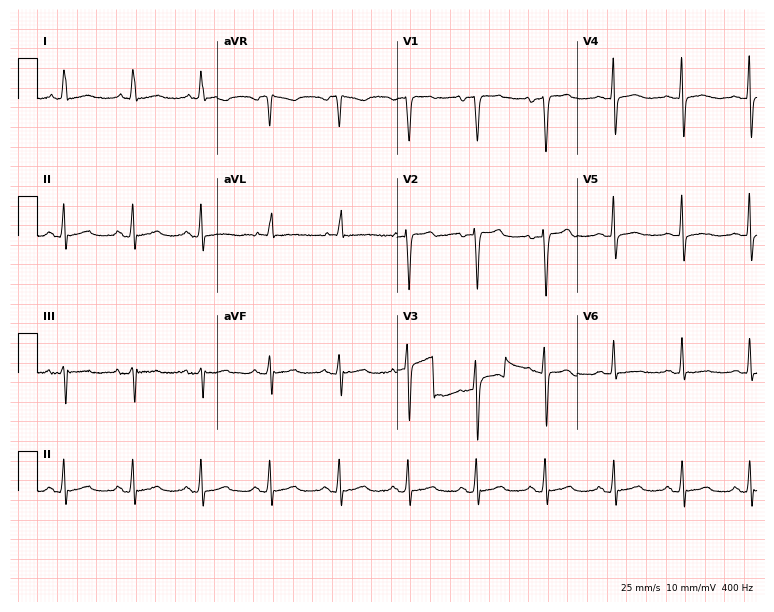
12-lead ECG from a 72-year-old female patient. Recorded interpretation: within normal limits.